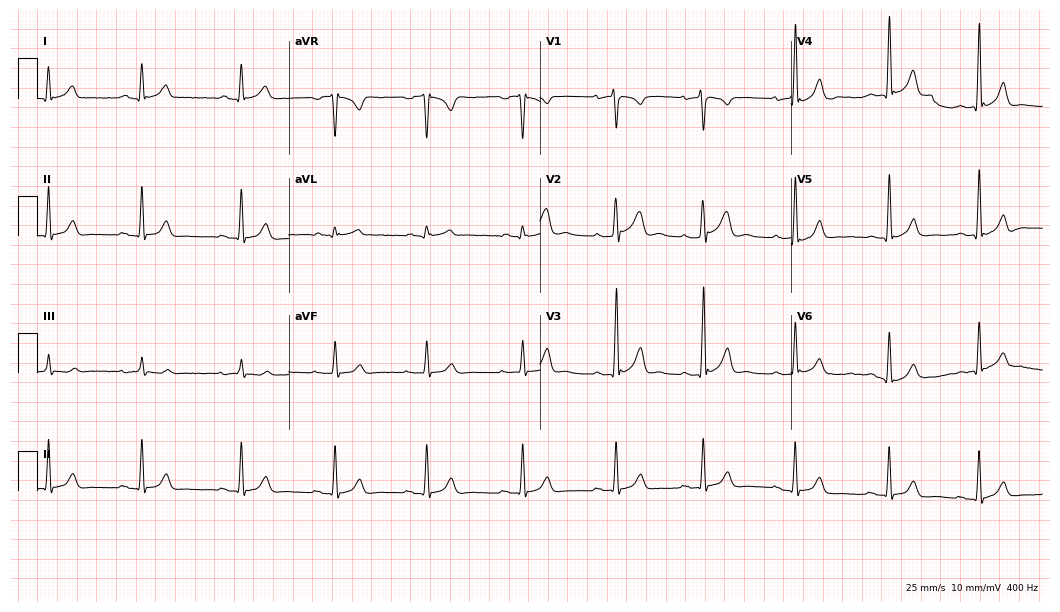
Electrocardiogram, a 32-year-old man. Overall reading on record: normal ECG.